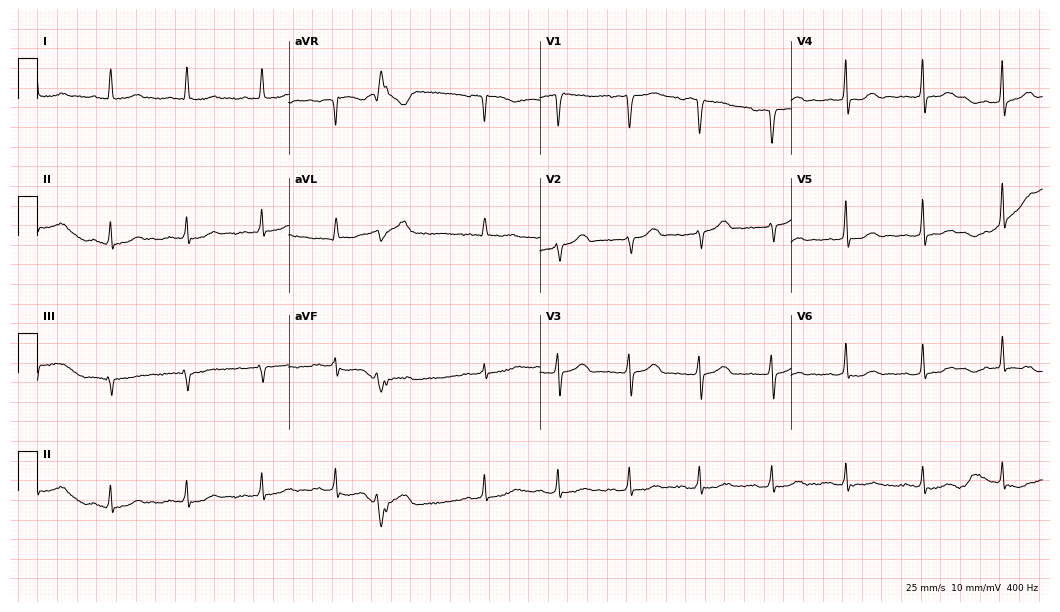
Resting 12-lead electrocardiogram (10.2-second recording at 400 Hz). Patient: a 55-year-old female. None of these six findings is recorded: first-degree AV block, right bundle branch block, left bundle branch block, sinus bradycardia, atrial fibrillation, sinus tachycardia.